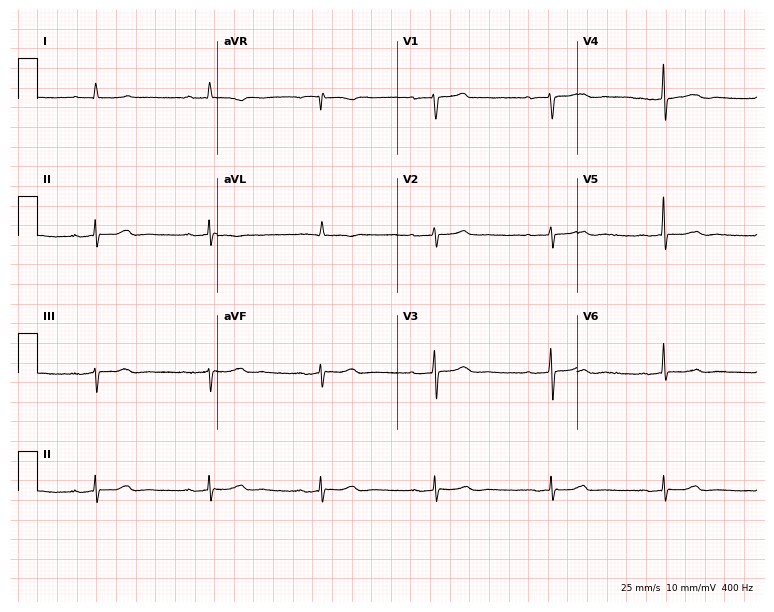
12-lead ECG from a man, 85 years old (7.3-second recording at 400 Hz). Shows first-degree AV block.